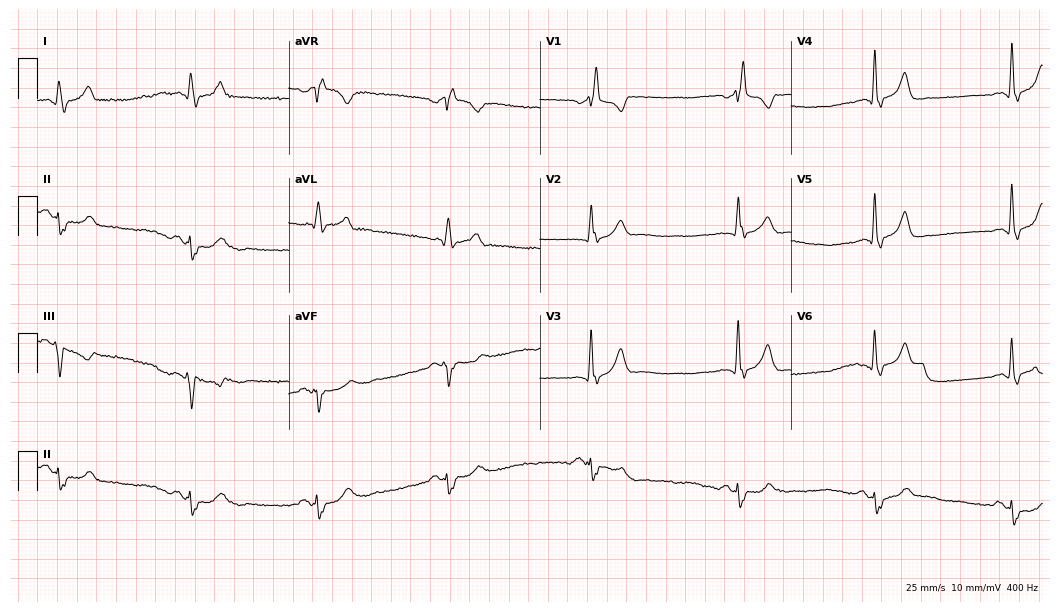
12-lead ECG from a male, 79 years old (10.2-second recording at 400 Hz). Shows right bundle branch block, sinus bradycardia (a sinus rate of 50 beats per minute or less).